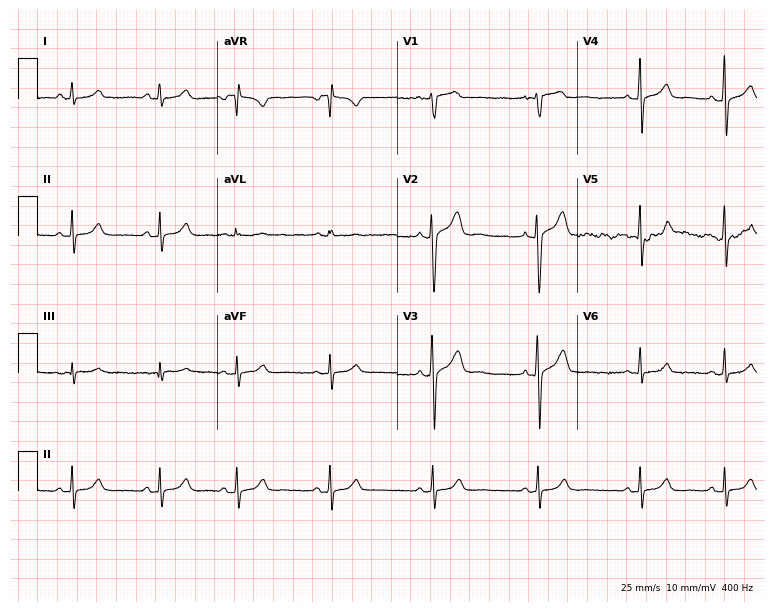
Resting 12-lead electrocardiogram. Patient: a female, 18 years old. Read as a normal ECG.